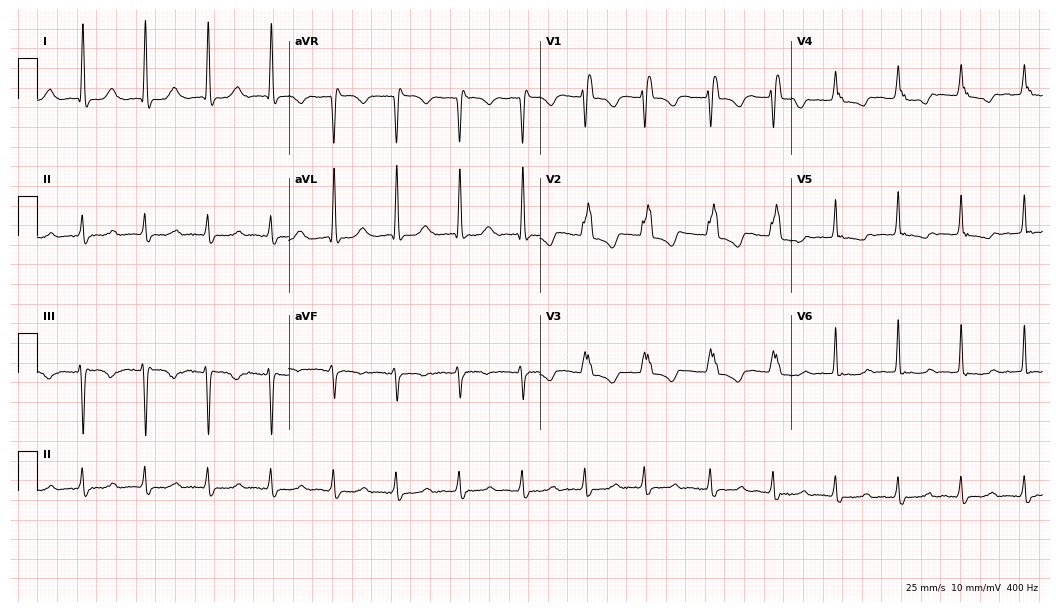
12-lead ECG from a 45-year-old woman. Shows right bundle branch block (RBBB).